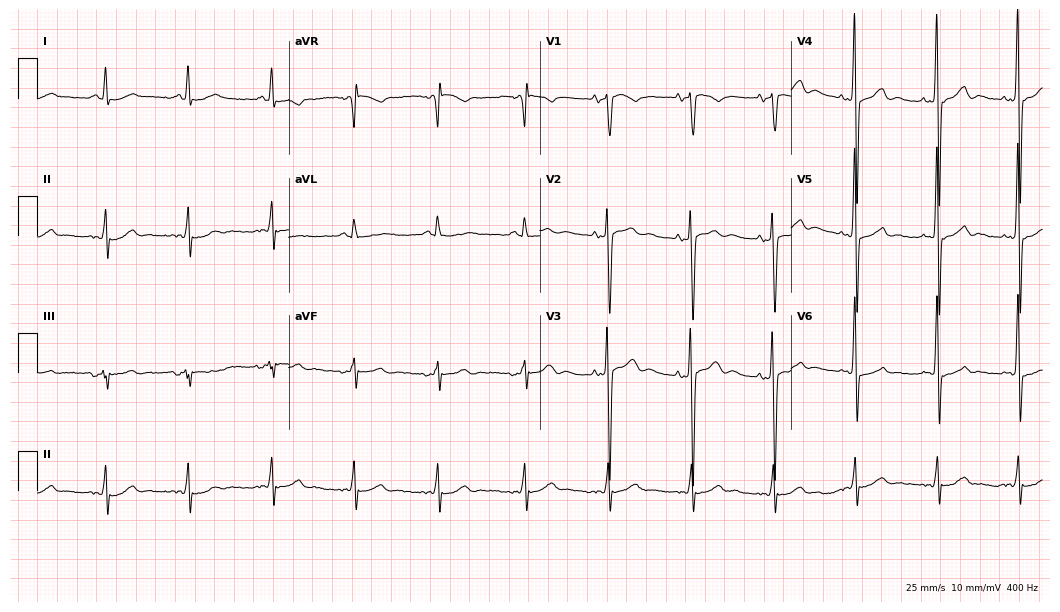
Electrocardiogram, a 71-year-old man. Overall reading on record: normal ECG.